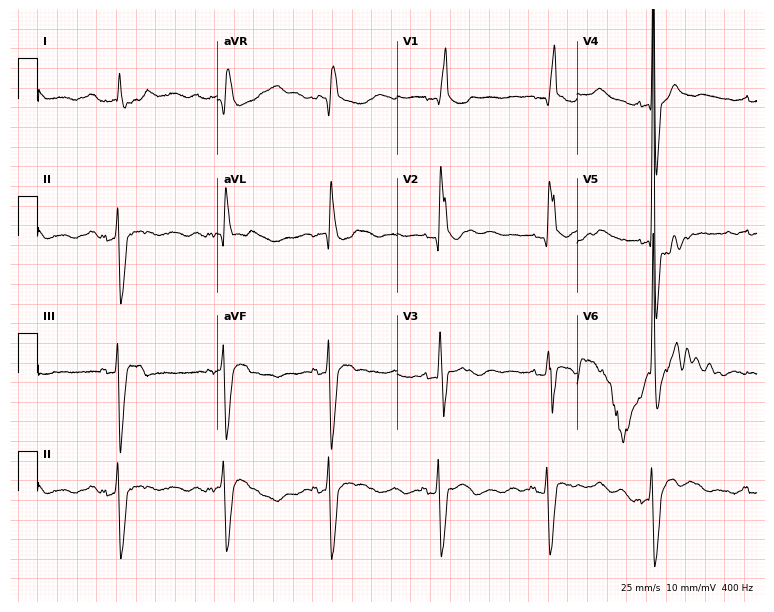
12-lead ECG from a female patient, 86 years old. No first-degree AV block, right bundle branch block (RBBB), left bundle branch block (LBBB), sinus bradycardia, atrial fibrillation (AF) or sinus tachycardia recorded for this tracing. Findings outside these six are not listed.